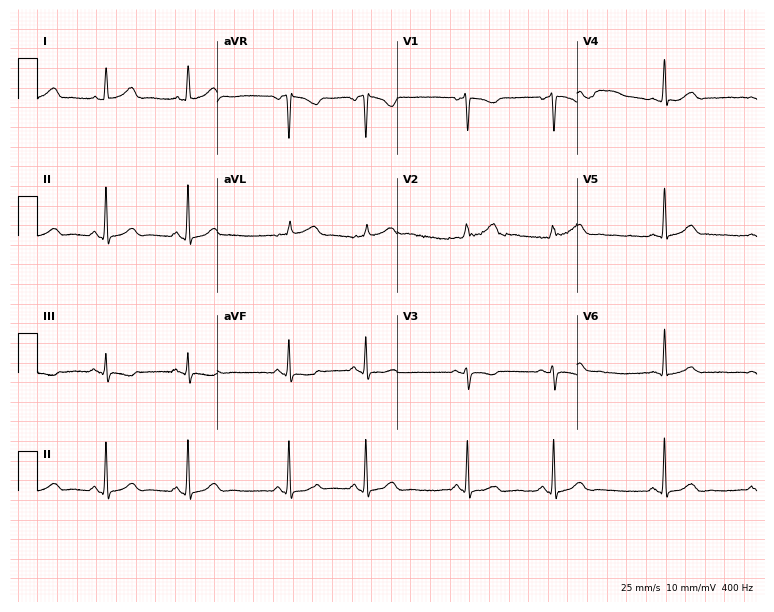
Resting 12-lead electrocardiogram (7.3-second recording at 400 Hz). Patient: a 25-year-old female. Read as a normal ECG.